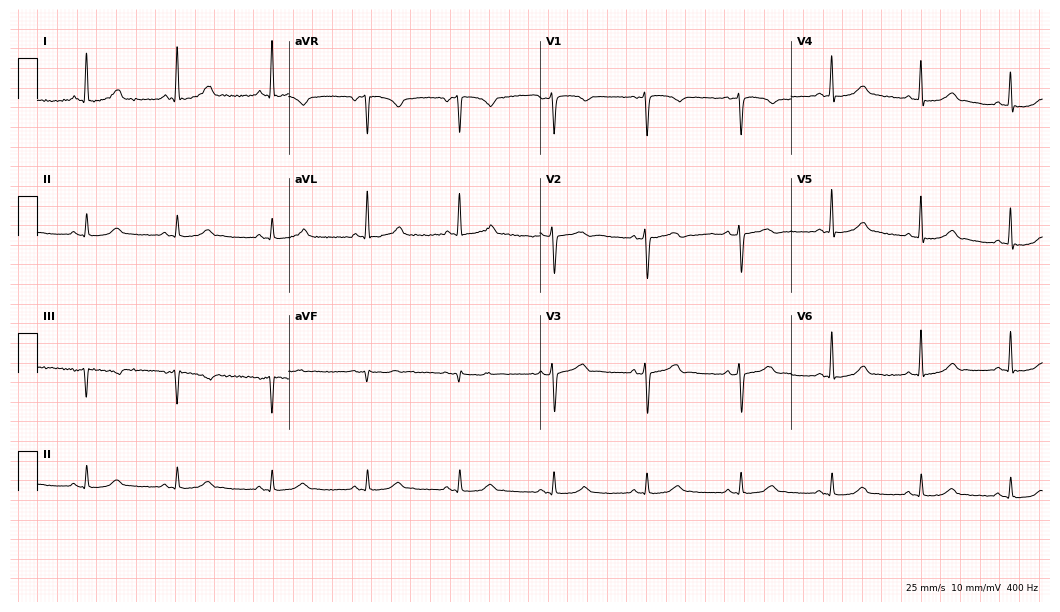
Resting 12-lead electrocardiogram (10.2-second recording at 400 Hz). Patient: a 47-year-old woman. Read as a normal ECG.